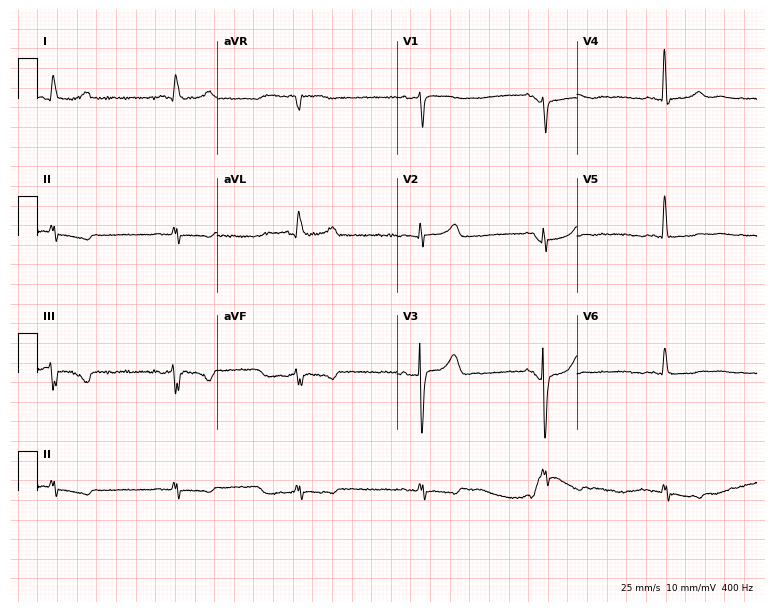
Standard 12-lead ECG recorded from an 83-year-old man (7.3-second recording at 400 Hz). The tracing shows sinus bradycardia (a sinus rate of 50 beats per minute or less).